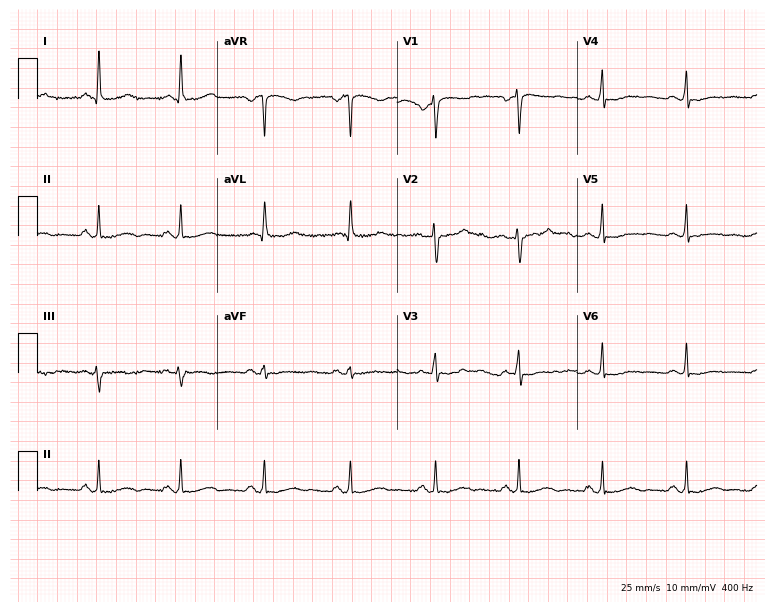
Standard 12-lead ECG recorded from a female patient, 56 years old. None of these six findings is recorded: first-degree AV block, right bundle branch block, left bundle branch block, sinus bradycardia, atrial fibrillation, sinus tachycardia. Other findings, if any, are not listed.